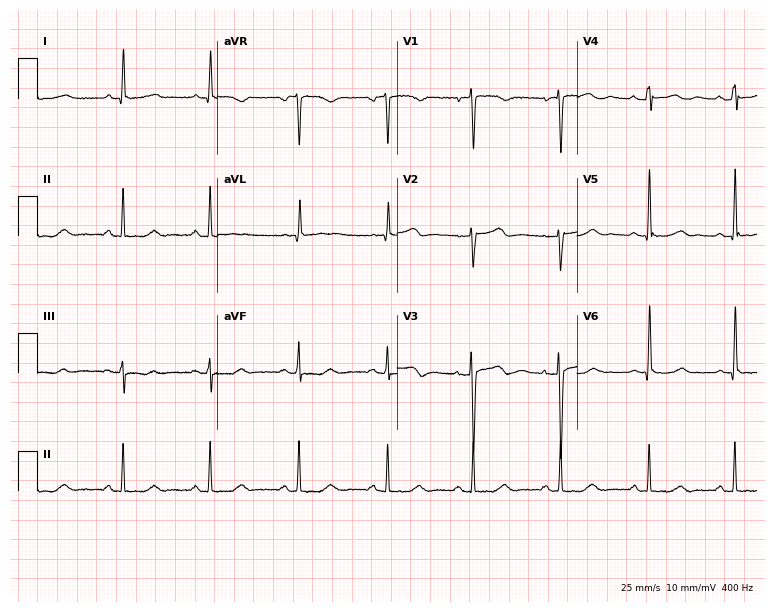
12-lead ECG from a 47-year-old woman (7.3-second recording at 400 Hz). No first-degree AV block, right bundle branch block, left bundle branch block, sinus bradycardia, atrial fibrillation or sinus tachycardia recorded for this tracing.